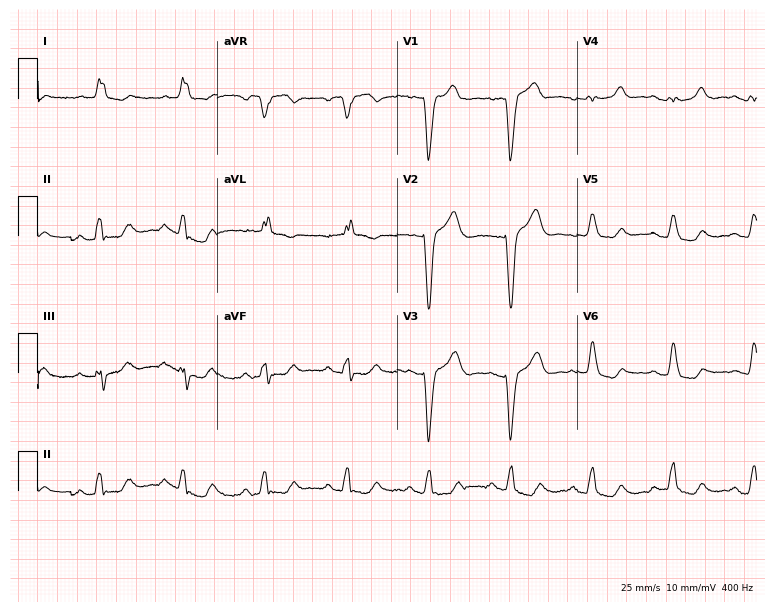
Resting 12-lead electrocardiogram. Patient: a 73-year-old woman. The tracing shows left bundle branch block.